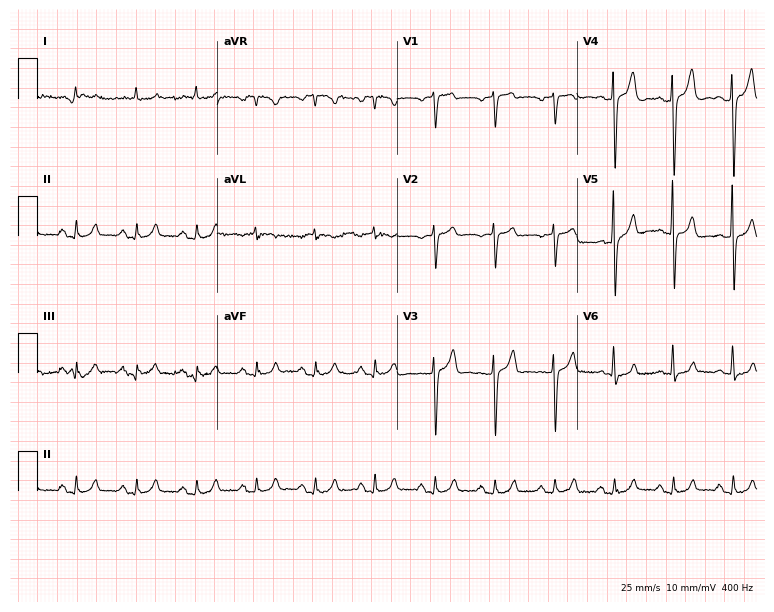
12-lead ECG from a man, 85 years old. No first-degree AV block, right bundle branch block (RBBB), left bundle branch block (LBBB), sinus bradycardia, atrial fibrillation (AF) or sinus tachycardia recorded for this tracing.